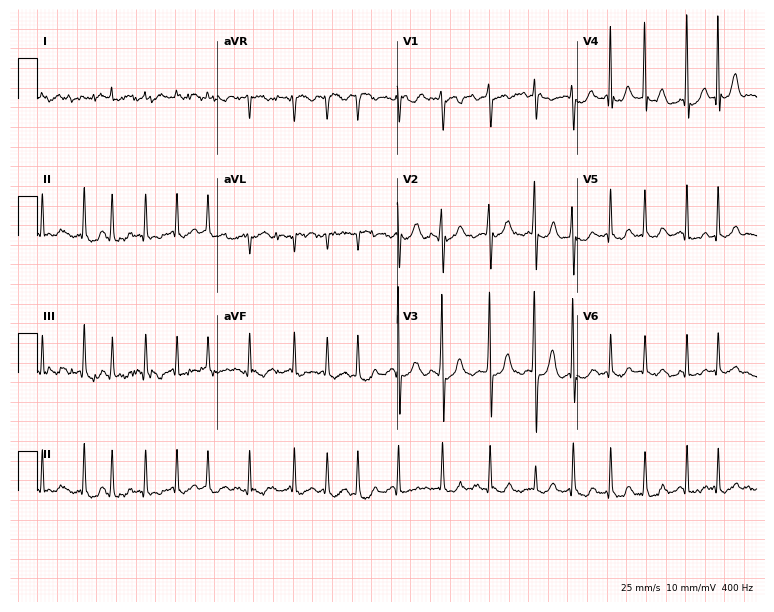
12-lead ECG from a 62-year-old female. Shows atrial fibrillation.